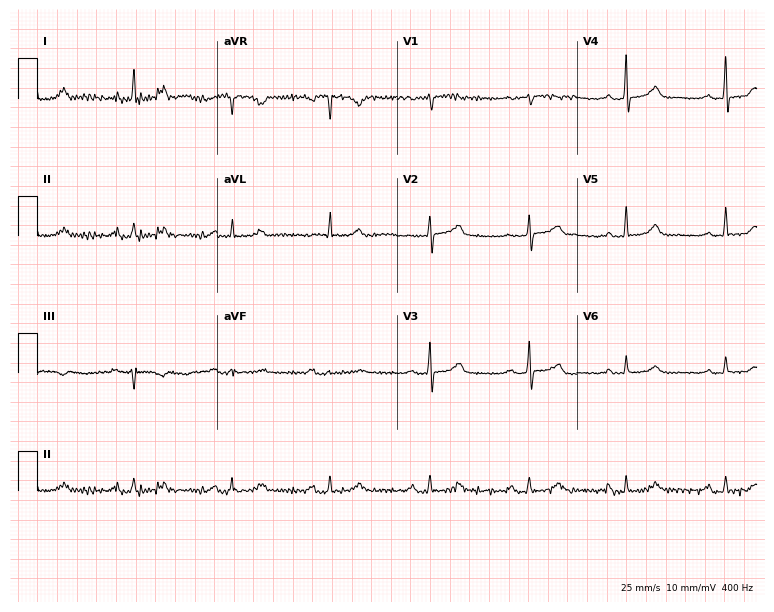
ECG — a 61-year-old female patient. Findings include first-degree AV block.